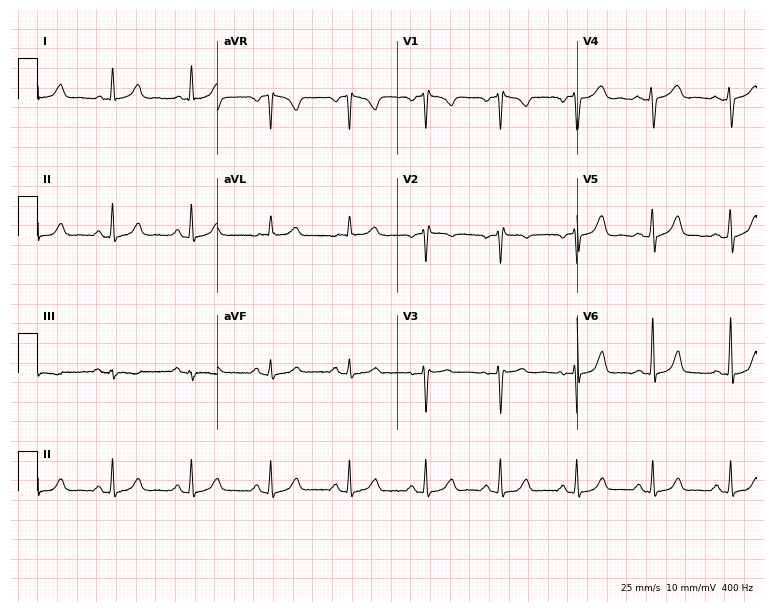
Standard 12-lead ECG recorded from a 47-year-old female. None of these six findings is recorded: first-degree AV block, right bundle branch block, left bundle branch block, sinus bradycardia, atrial fibrillation, sinus tachycardia.